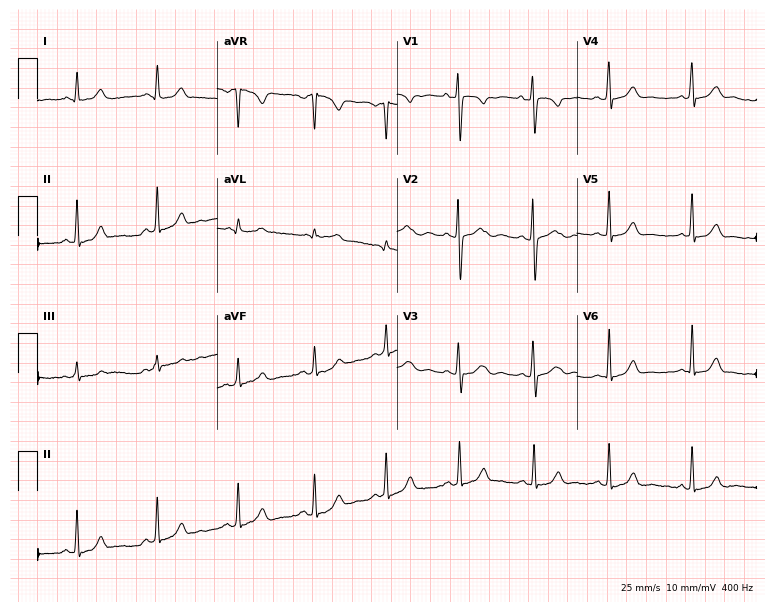
Resting 12-lead electrocardiogram (7.3-second recording at 400 Hz). Patient: a 20-year-old female. None of these six findings is recorded: first-degree AV block, right bundle branch block (RBBB), left bundle branch block (LBBB), sinus bradycardia, atrial fibrillation (AF), sinus tachycardia.